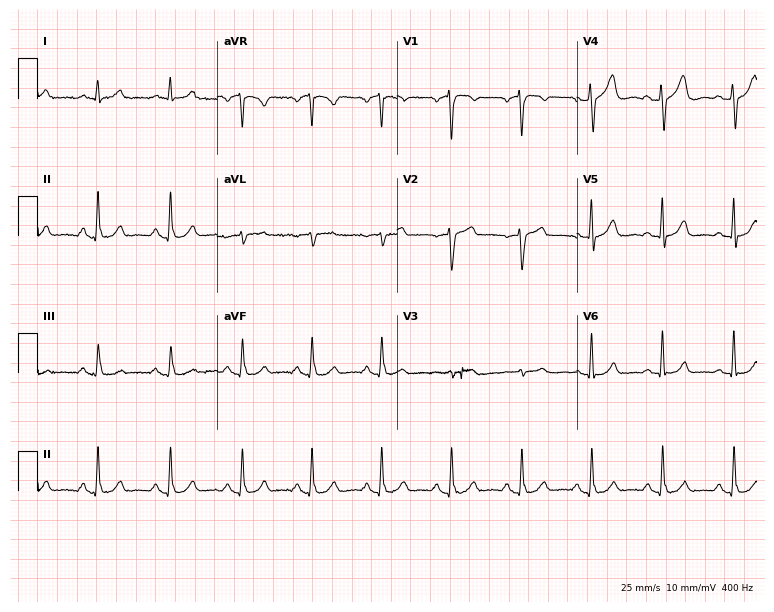
ECG — a 61-year-old male. Labelled as a normal ECG.